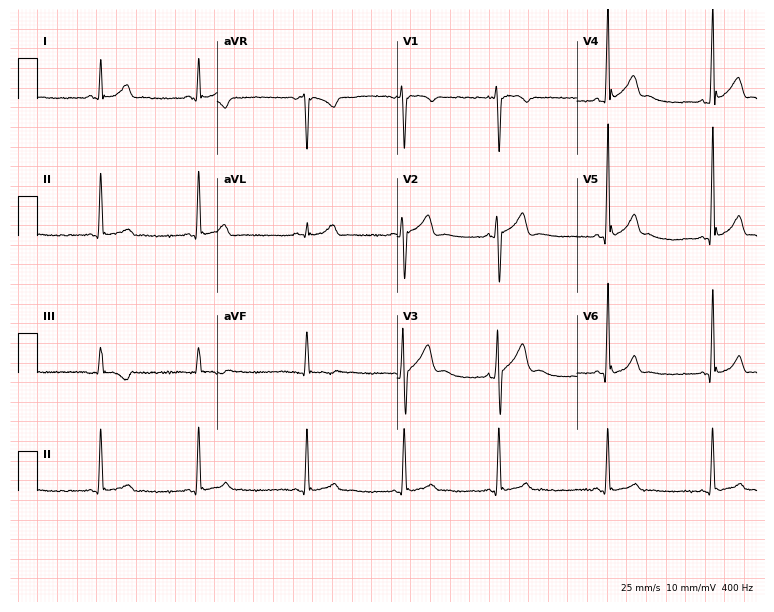
12-lead ECG from a male, 22 years old. Screened for six findings — first-degree AV block, right bundle branch block, left bundle branch block, sinus bradycardia, atrial fibrillation, sinus tachycardia — none is recorded.